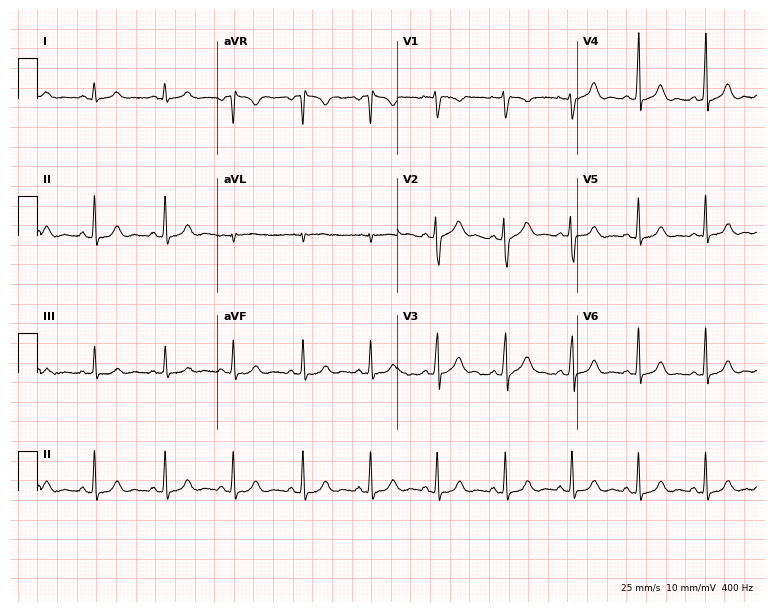
Resting 12-lead electrocardiogram (7.3-second recording at 400 Hz). Patient: an 18-year-old woman. Read as a normal ECG.